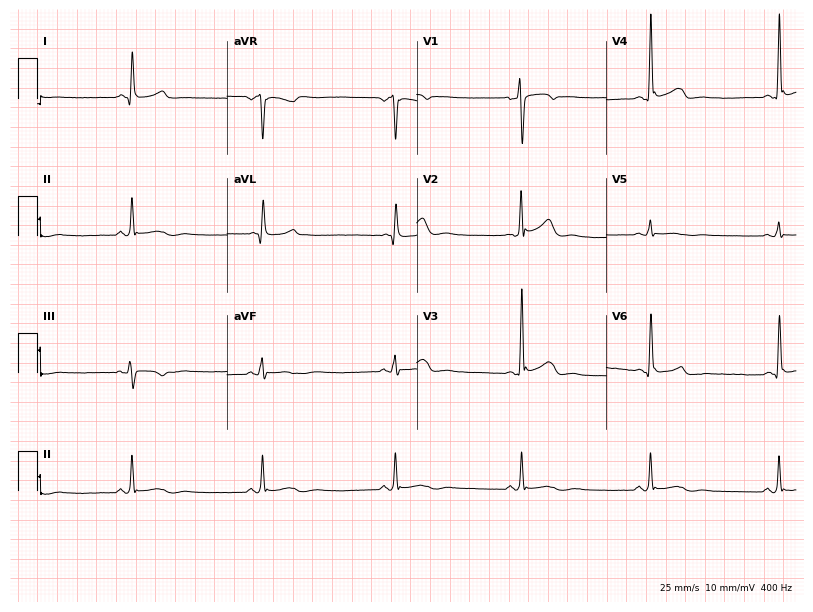
12-lead ECG from a 47-year-old man. No first-degree AV block, right bundle branch block (RBBB), left bundle branch block (LBBB), sinus bradycardia, atrial fibrillation (AF) or sinus tachycardia recorded for this tracing.